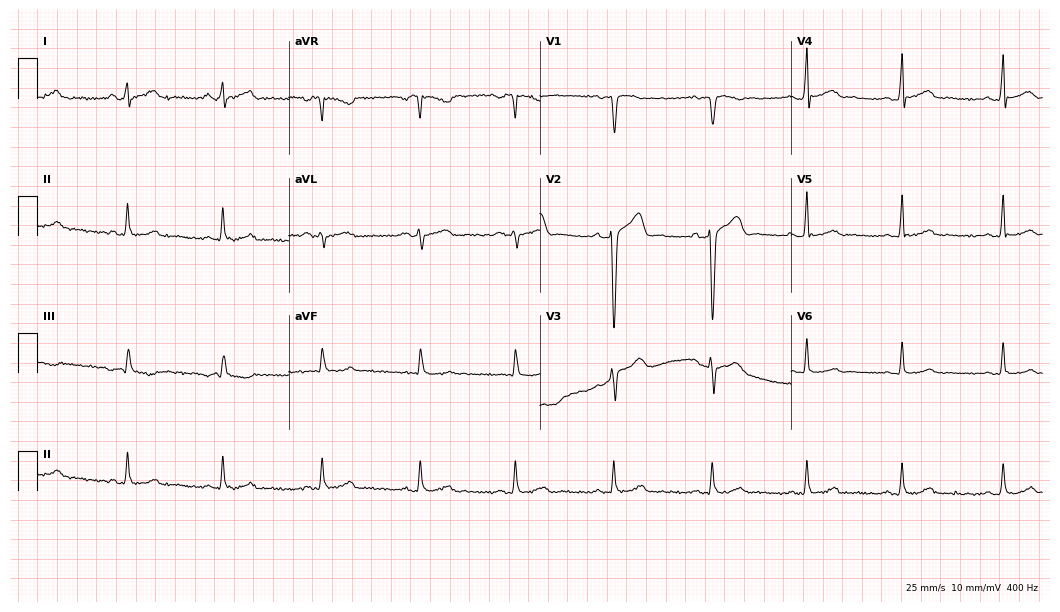
Resting 12-lead electrocardiogram (10.2-second recording at 400 Hz). Patient: a 29-year-old male. Read as a normal ECG.